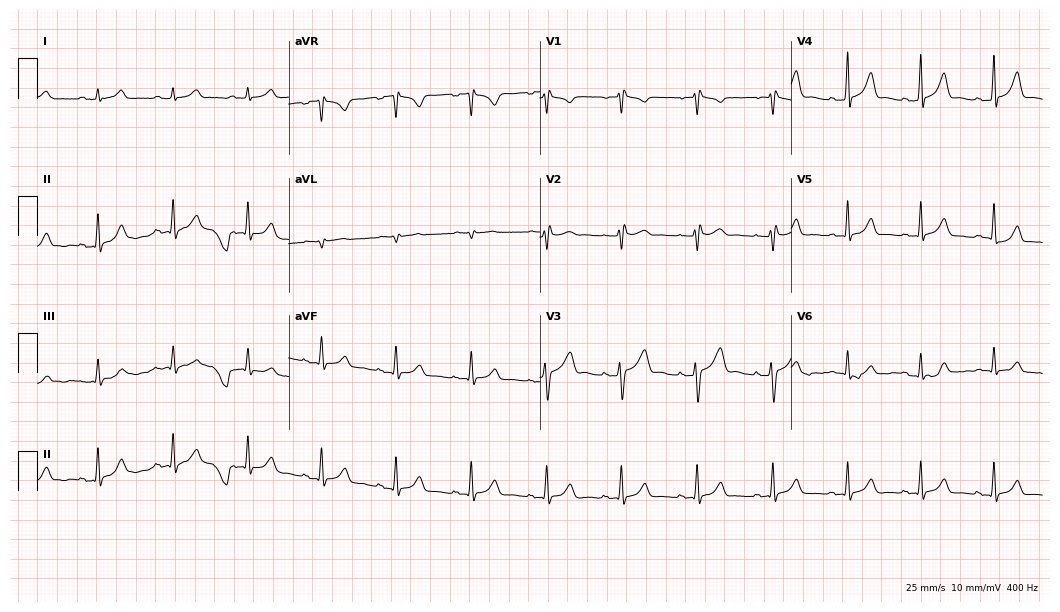
Resting 12-lead electrocardiogram. Patient: a man, 45 years old. None of these six findings is recorded: first-degree AV block, right bundle branch block, left bundle branch block, sinus bradycardia, atrial fibrillation, sinus tachycardia.